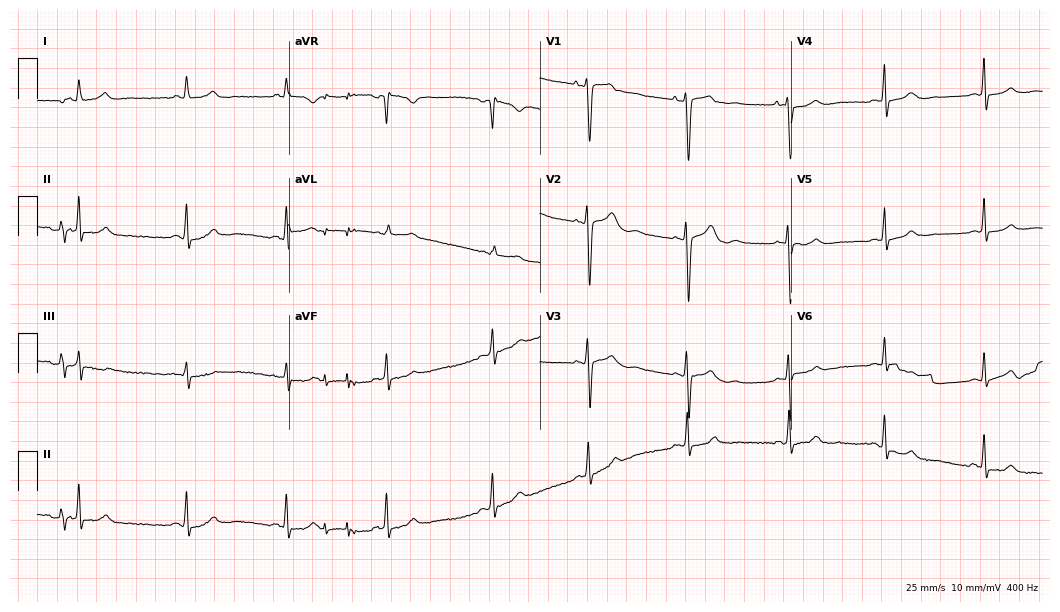
Electrocardiogram (10.2-second recording at 400 Hz), a 25-year-old female patient. Of the six screened findings (first-degree AV block, right bundle branch block (RBBB), left bundle branch block (LBBB), sinus bradycardia, atrial fibrillation (AF), sinus tachycardia), none is recorded. Only these six findings were labelled.